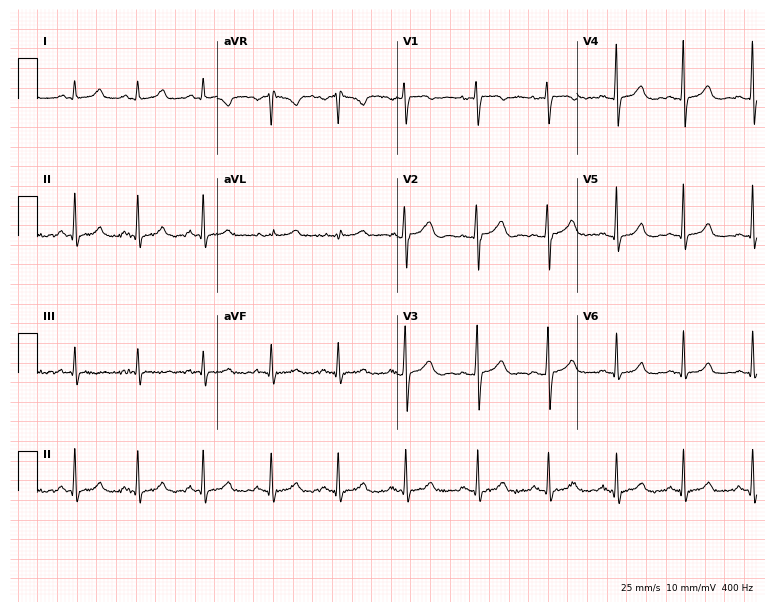
Resting 12-lead electrocardiogram. Patient: an 18-year-old female. Read as a normal ECG.